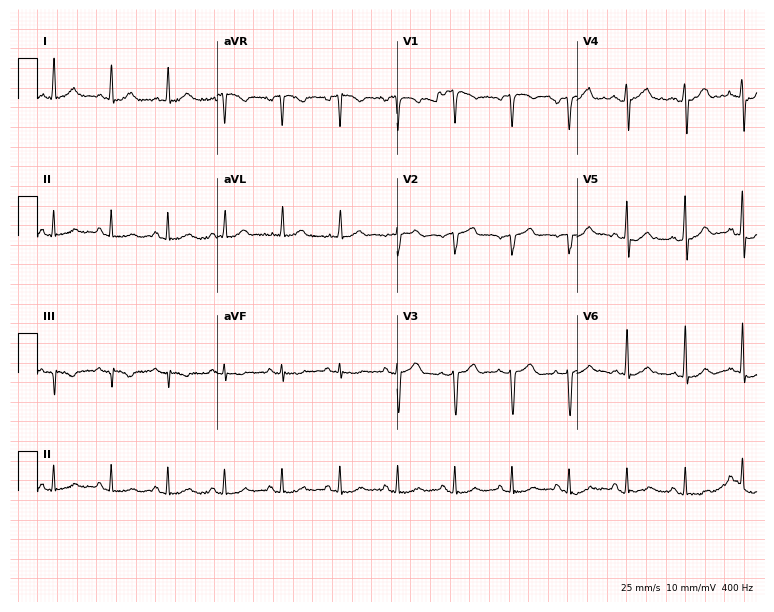
12-lead ECG from a 67-year-old man. Shows sinus tachycardia (a sinus rate of 100 beats per minute or more).